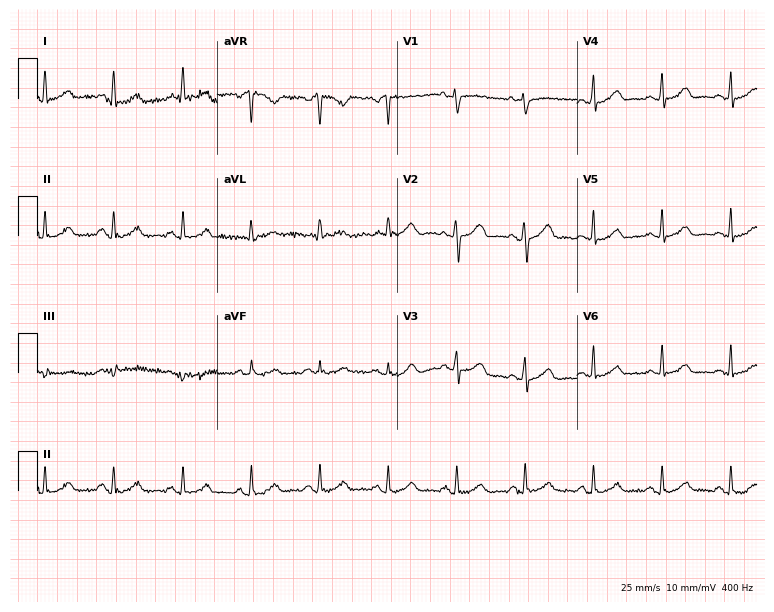
12-lead ECG (7.3-second recording at 400 Hz) from a 51-year-old female patient. Labelled as a normal ECG.